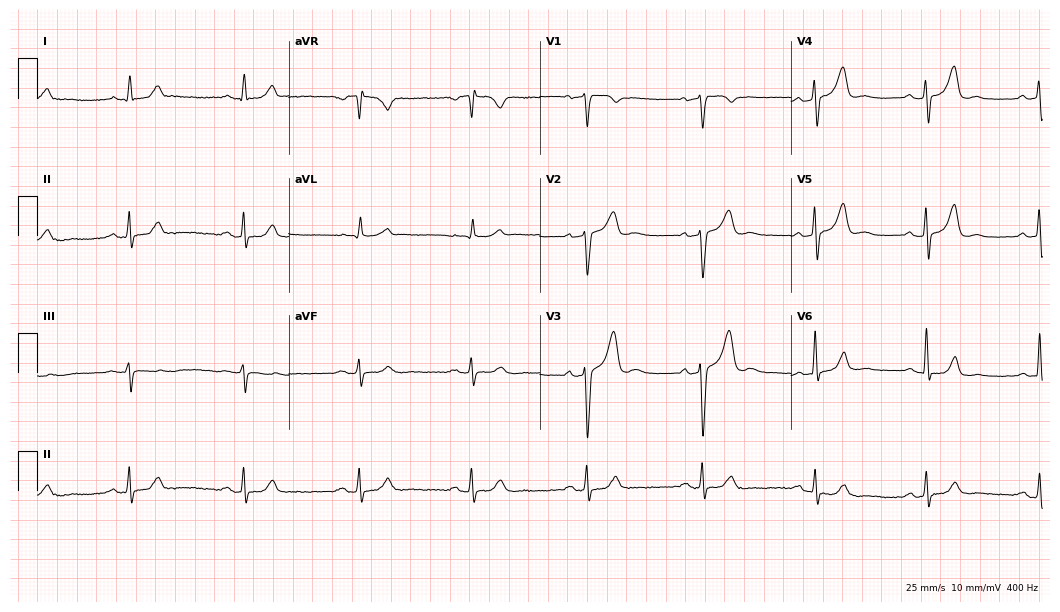
12-lead ECG (10.2-second recording at 400 Hz) from a man, 71 years old. Labelled as a normal ECG.